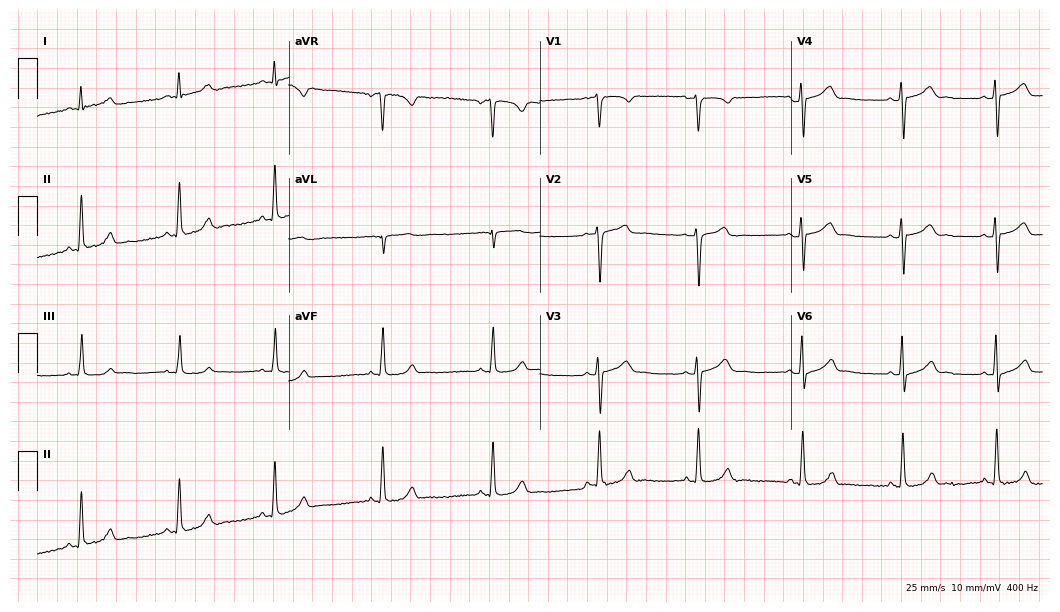
Resting 12-lead electrocardiogram. Patient: a 29-year-old woman. Read as a normal ECG.